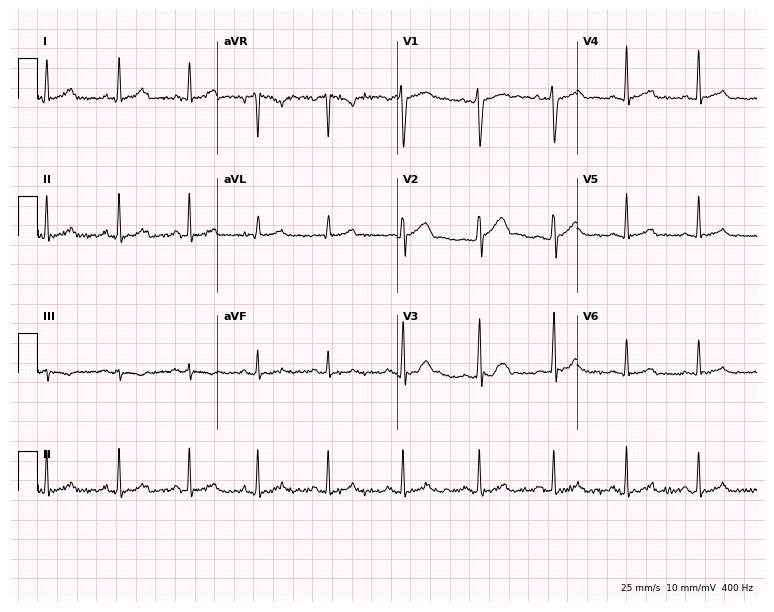
12-lead ECG from a male patient, 31 years old. Screened for six findings — first-degree AV block, right bundle branch block, left bundle branch block, sinus bradycardia, atrial fibrillation, sinus tachycardia — none is recorded. Findings outside these six are not listed.